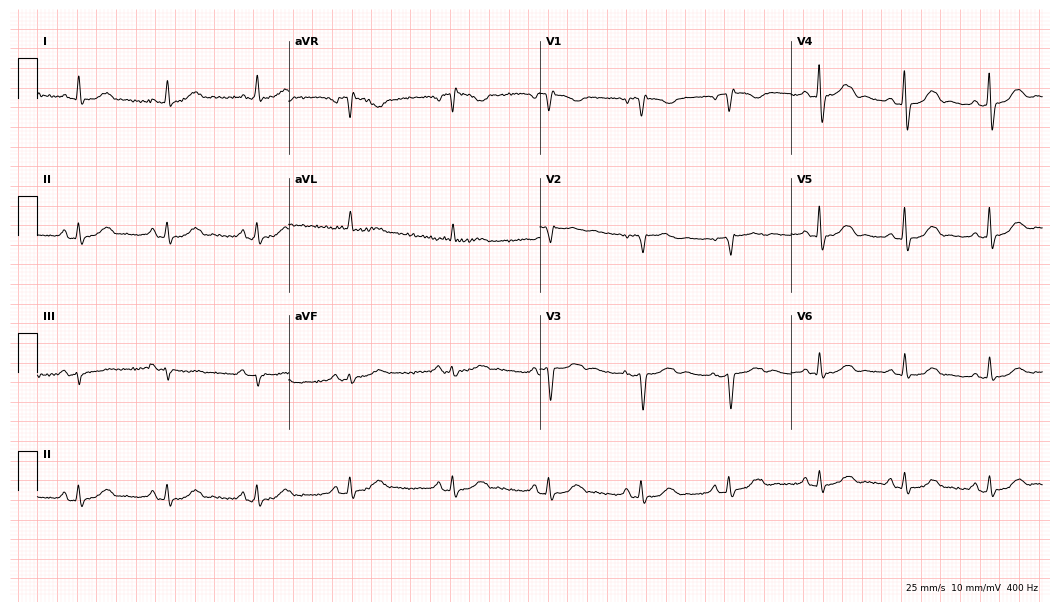
Resting 12-lead electrocardiogram. Patient: a female, 79 years old. None of these six findings is recorded: first-degree AV block, right bundle branch block (RBBB), left bundle branch block (LBBB), sinus bradycardia, atrial fibrillation (AF), sinus tachycardia.